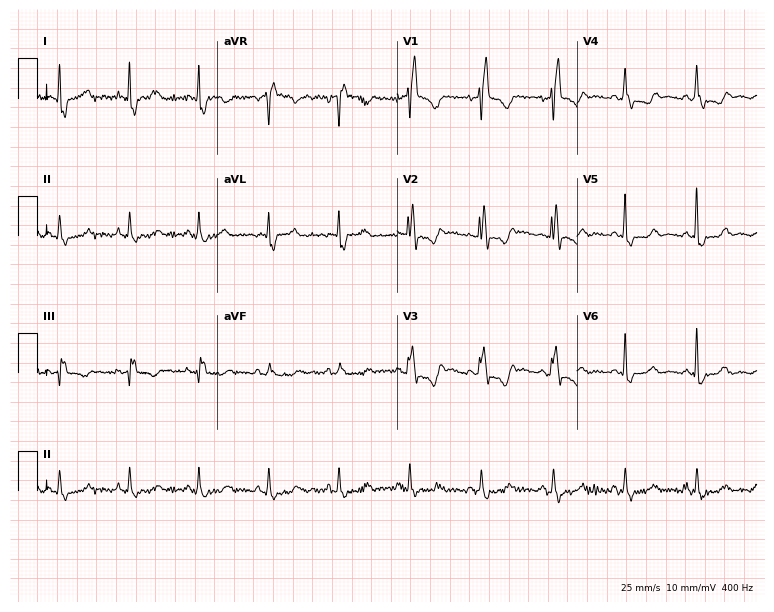
ECG (7.3-second recording at 400 Hz) — a 50-year-old female patient. Screened for six findings — first-degree AV block, right bundle branch block (RBBB), left bundle branch block (LBBB), sinus bradycardia, atrial fibrillation (AF), sinus tachycardia — none is recorded.